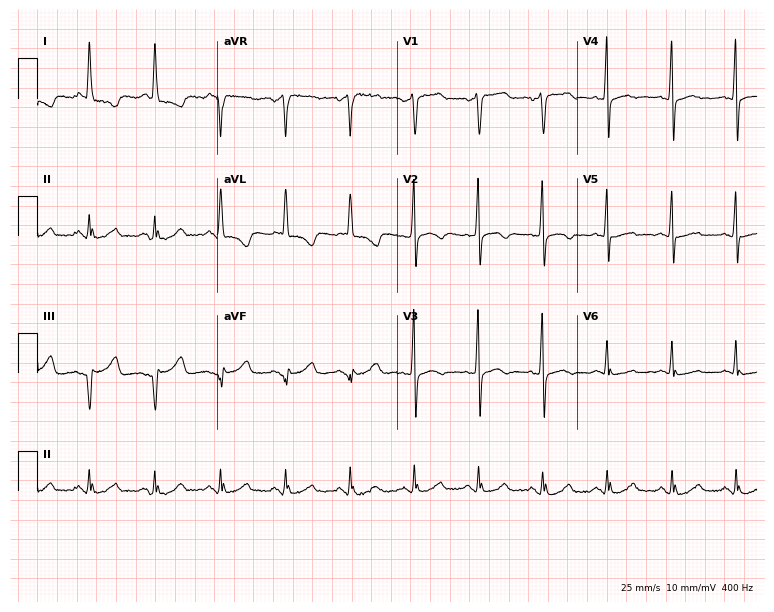
Electrocardiogram, a female patient, 70 years old. Of the six screened findings (first-degree AV block, right bundle branch block, left bundle branch block, sinus bradycardia, atrial fibrillation, sinus tachycardia), none is recorded. Findings outside these six are not listed.